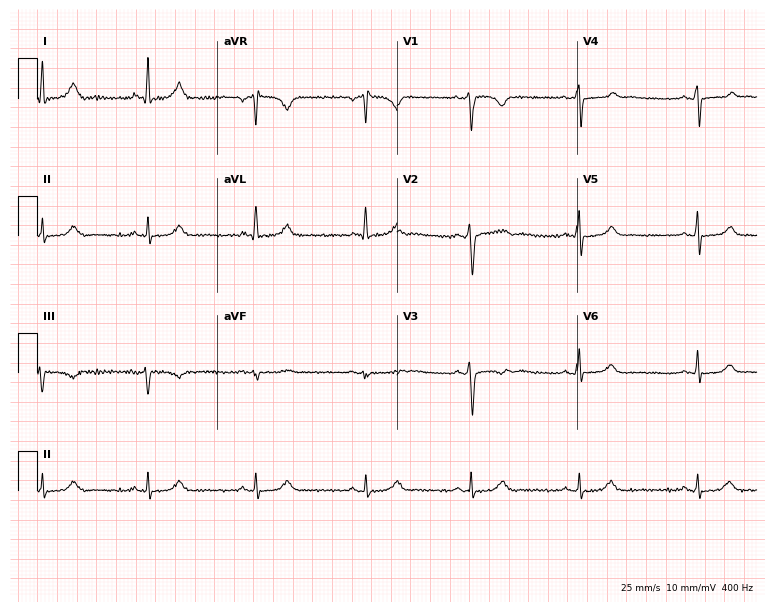
12-lead ECG from a 54-year-old female. No first-degree AV block, right bundle branch block, left bundle branch block, sinus bradycardia, atrial fibrillation or sinus tachycardia recorded for this tracing.